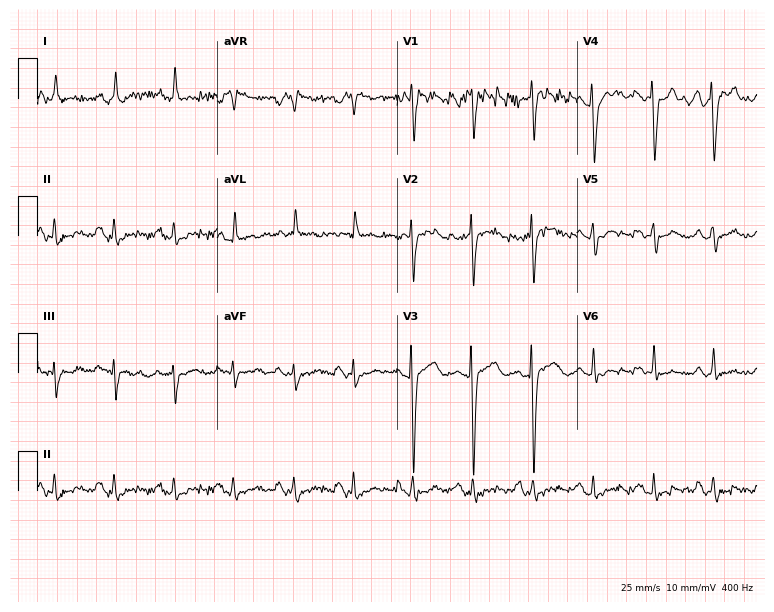
ECG (7.3-second recording at 400 Hz) — a 58-year-old female. Screened for six findings — first-degree AV block, right bundle branch block, left bundle branch block, sinus bradycardia, atrial fibrillation, sinus tachycardia — none is recorded.